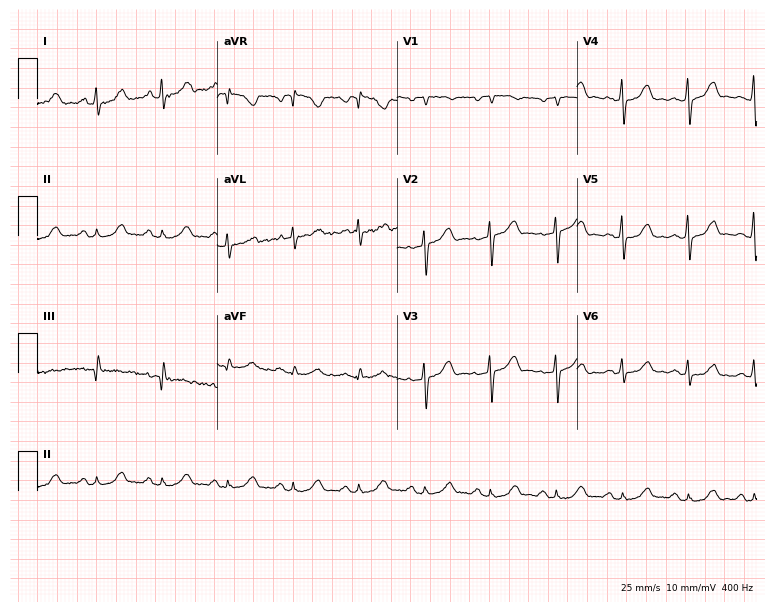
12-lead ECG from a 53-year-old female. No first-degree AV block, right bundle branch block, left bundle branch block, sinus bradycardia, atrial fibrillation or sinus tachycardia recorded for this tracing. Findings outside these six are not listed.